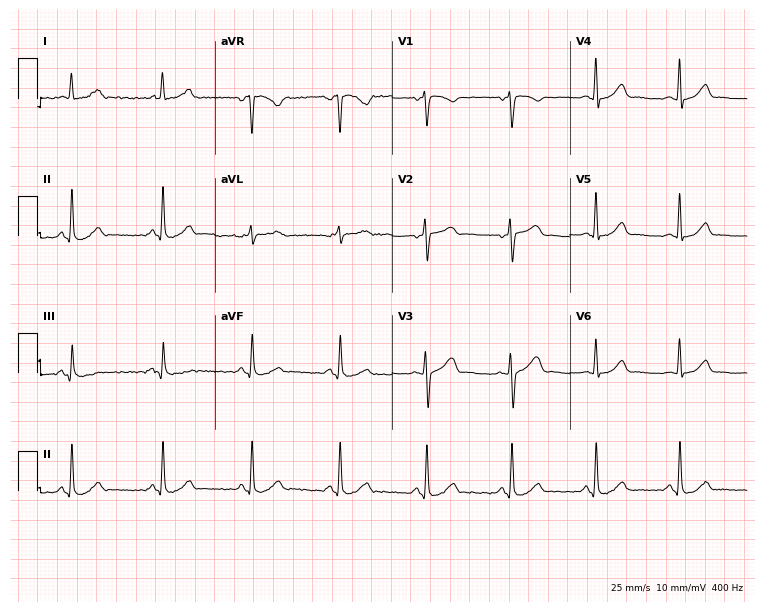
12-lead ECG (7.2-second recording at 400 Hz) from a 40-year-old female. Labelled as a normal ECG.